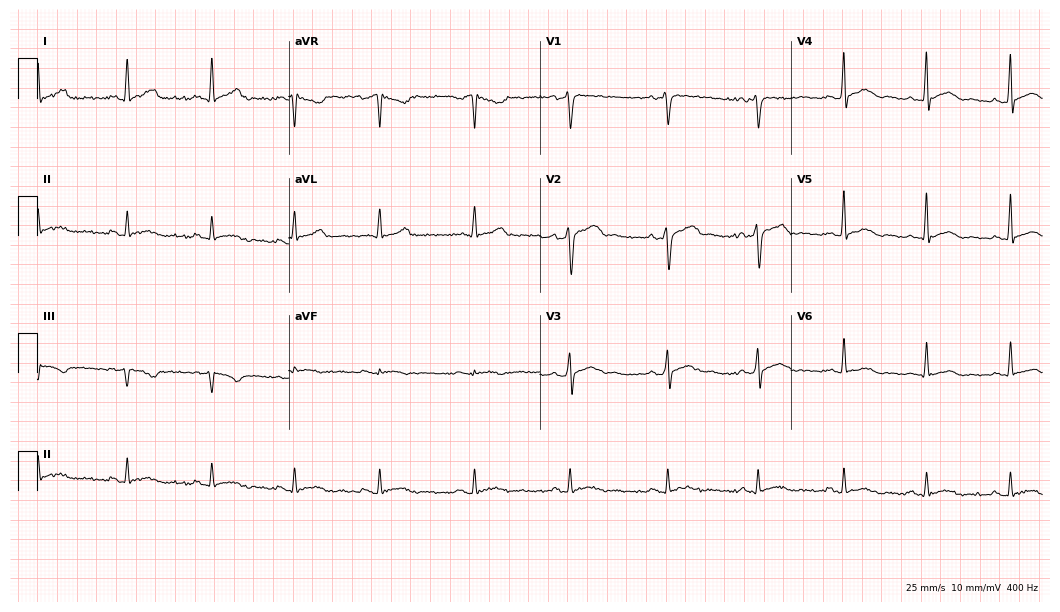
12-lead ECG from a male, 39 years old. Labelled as a normal ECG.